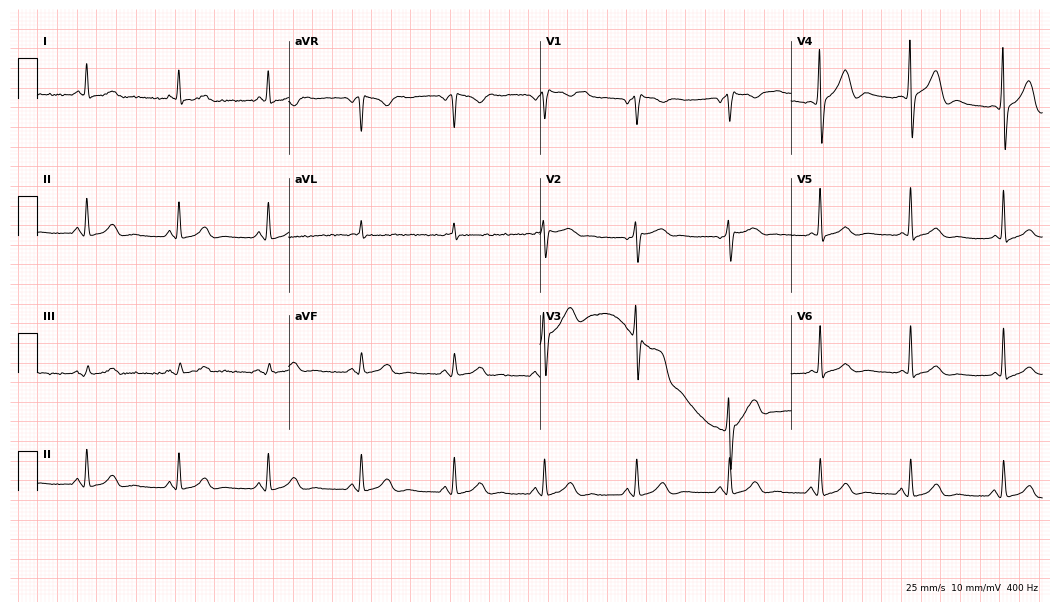
ECG — a female, 85 years old. Labelled as a normal ECG.